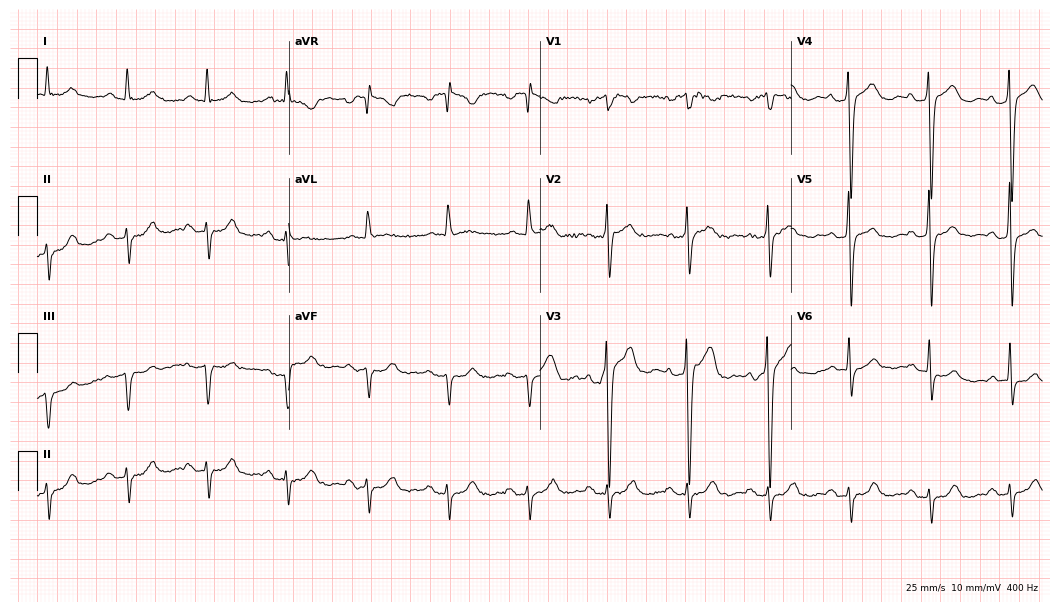
Electrocardiogram, a man, 77 years old. Of the six screened findings (first-degree AV block, right bundle branch block (RBBB), left bundle branch block (LBBB), sinus bradycardia, atrial fibrillation (AF), sinus tachycardia), none is recorded.